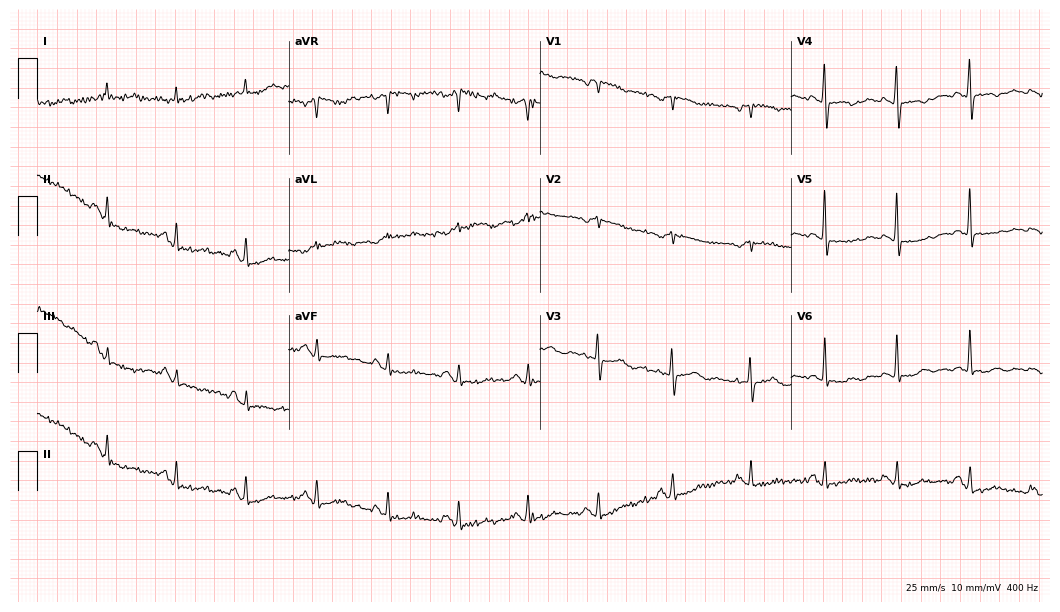
ECG — a woman, 70 years old. Screened for six findings — first-degree AV block, right bundle branch block, left bundle branch block, sinus bradycardia, atrial fibrillation, sinus tachycardia — none is recorded. Findings outside these six are not listed.